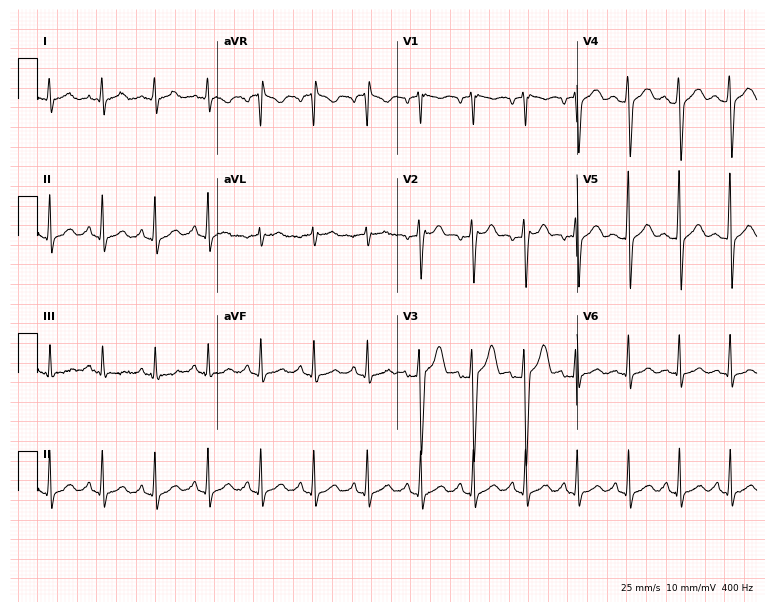
12-lead ECG from a 33-year-old male. No first-degree AV block, right bundle branch block (RBBB), left bundle branch block (LBBB), sinus bradycardia, atrial fibrillation (AF) or sinus tachycardia recorded for this tracing. Only these six findings were labelled.